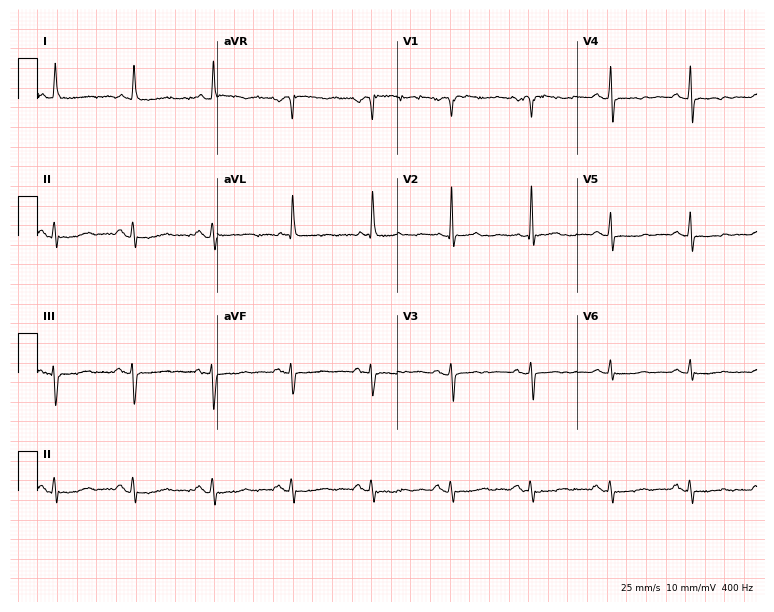
12-lead ECG from a 32-year-old woman (7.3-second recording at 400 Hz). No first-degree AV block, right bundle branch block, left bundle branch block, sinus bradycardia, atrial fibrillation or sinus tachycardia recorded for this tracing. Findings outside these six are not listed.